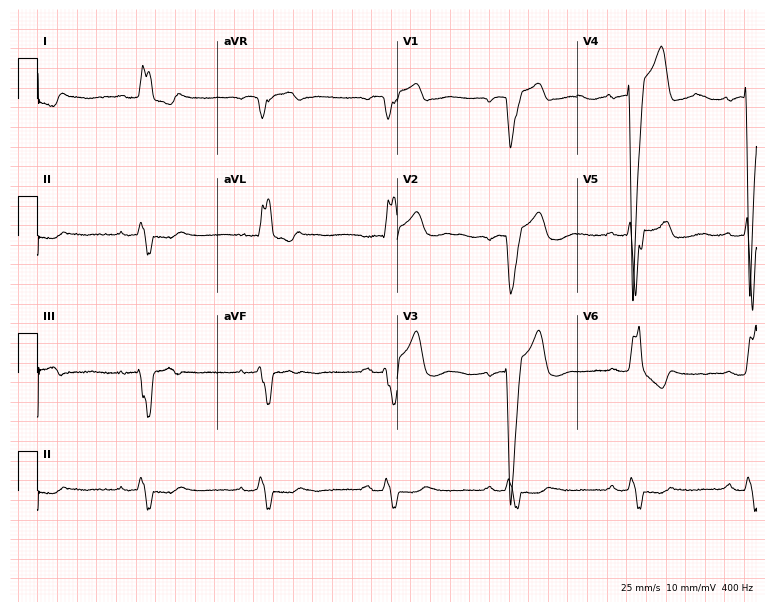
12-lead ECG from a 73-year-old woman. Shows first-degree AV block, left bundle branch block, sinus bradycardia (a sinus rate of 50 beats per minute or less).